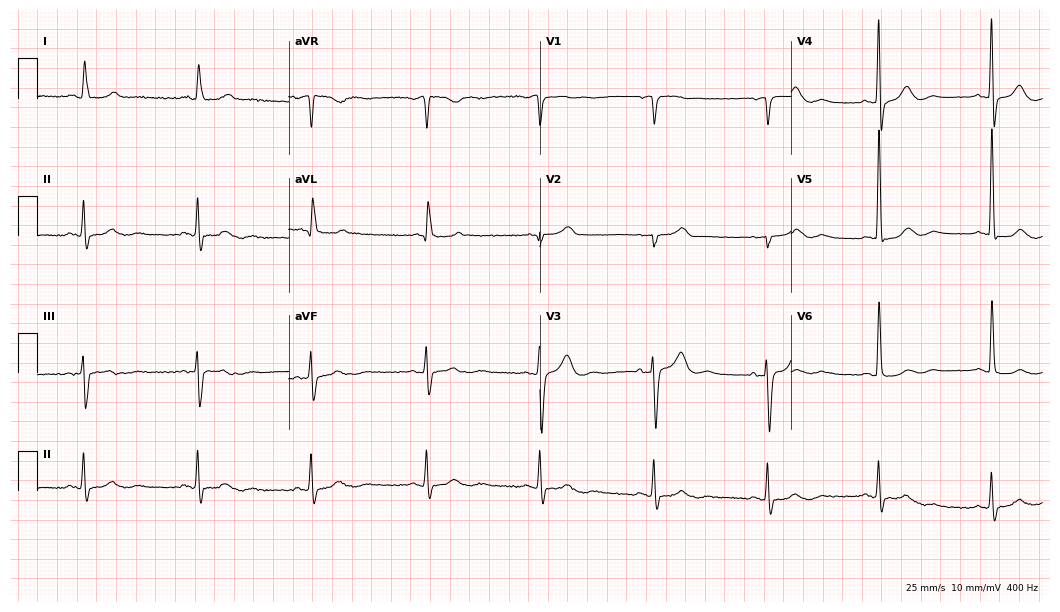
12-lead ECG from a 71-year-old woman. Labelled as a normal ECG.